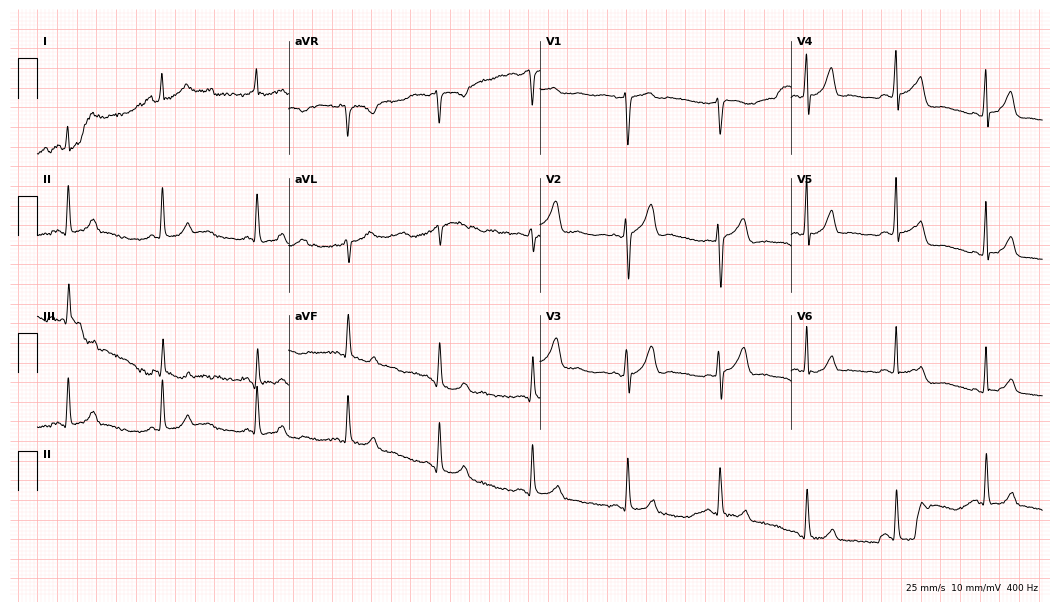
Resting 12-lead electrocardiogram. Patient: a female, 37 years old. Read as a normal ECG.